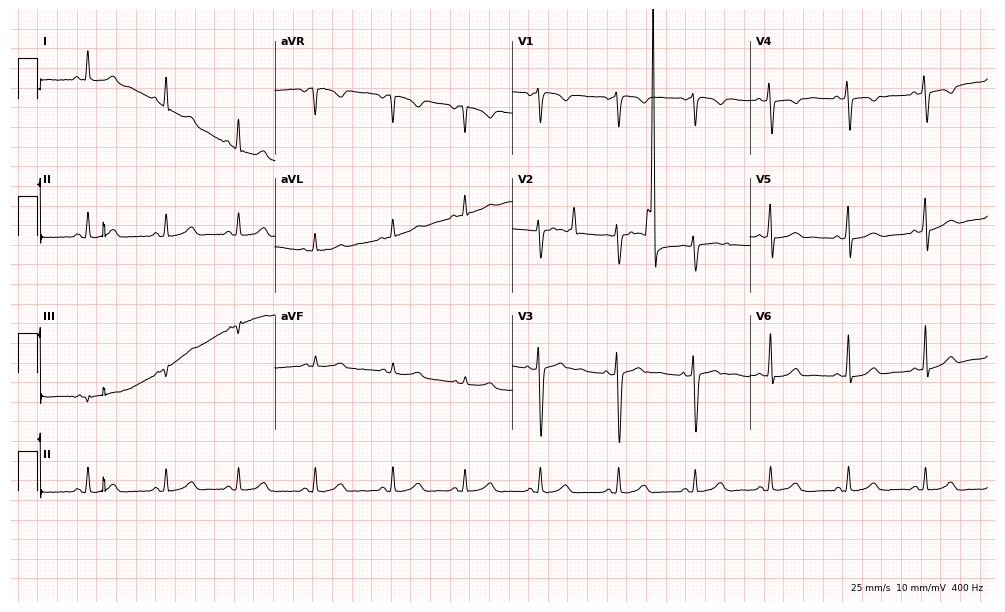
12-lead ECG from a female patient, 26 years old. Recorded interpretation: within normal limits.